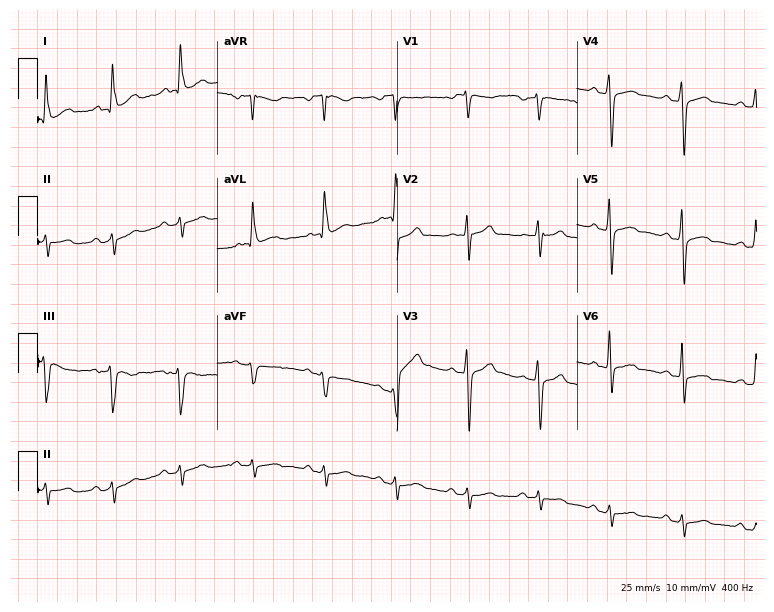
Resting 12-lead electrocardiogram. Patient: a 52-year-old male. None of these six findings is recorded: first-degree AV block, right bundle branch block, left bundle branch block, sinus bradycardia, atrial fibrillation, sinus tachycardia. Findings outside these six are not listed.